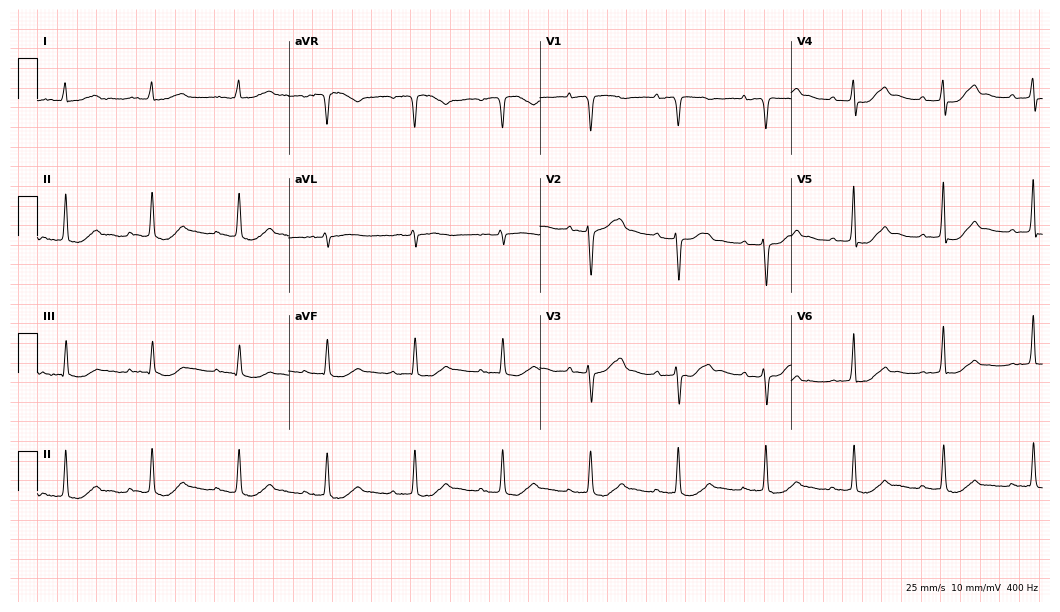
12-lead ECG from a woman, 72 years old. Shows first-degree AV block.